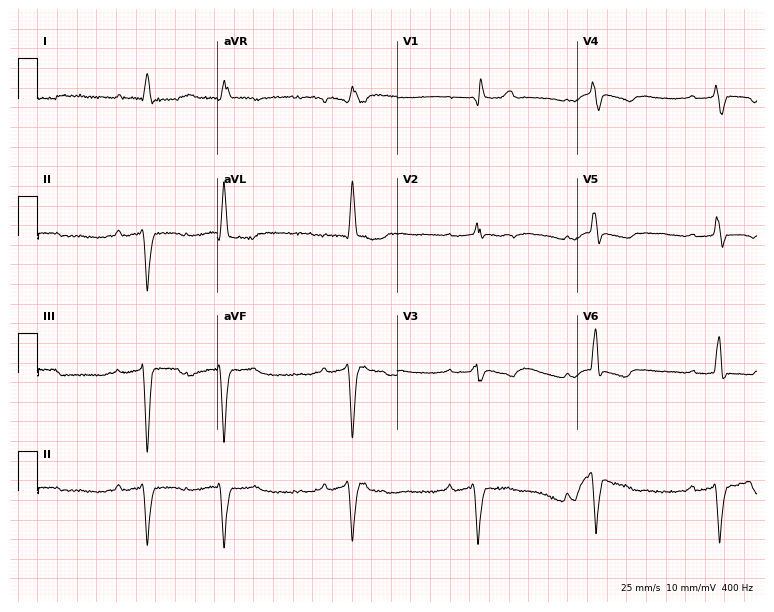
ECG (7.3-second recording at 400 Hz) — an 84-year-old male. Findings include first-degree AV block, right bundle branch block (RBBB), atrial fibrillation (AF).